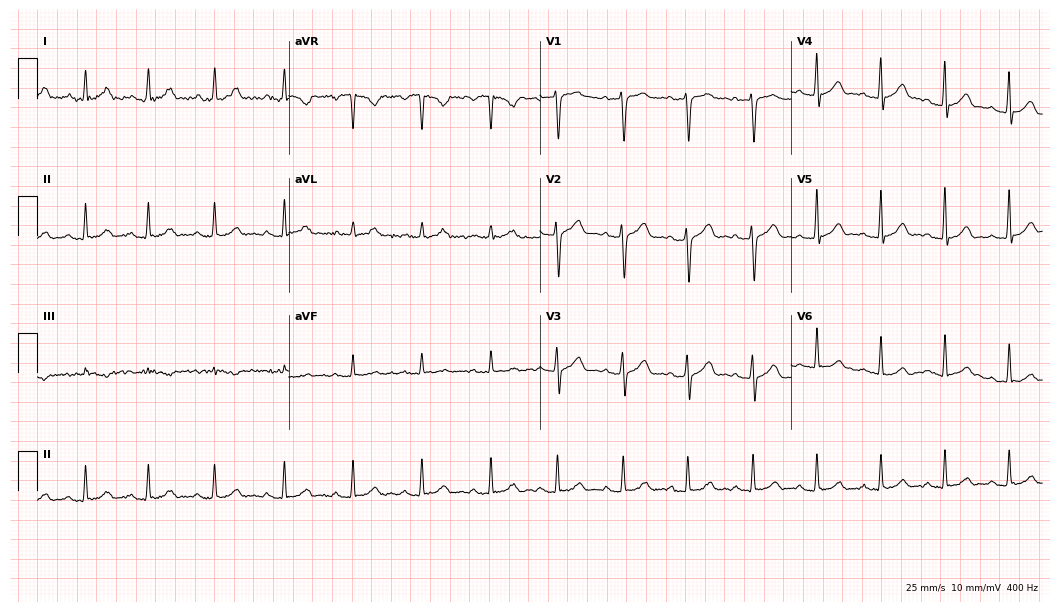
Standard 12-lead ECG recorded from a male patient, 43 years old. Read as a normal ECG.